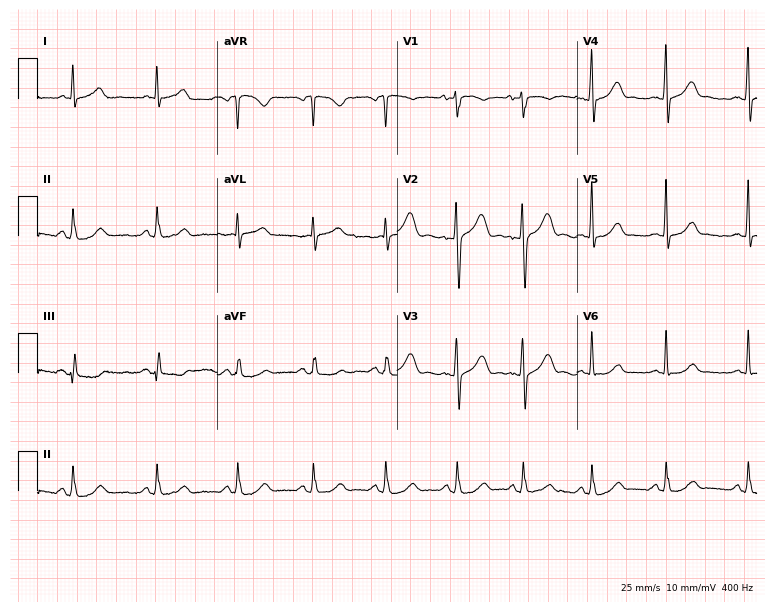
12-lead ECG from a 40-year-old male (7.3-second recording at 400 Hz). Recorded interpretation: within normal limits.